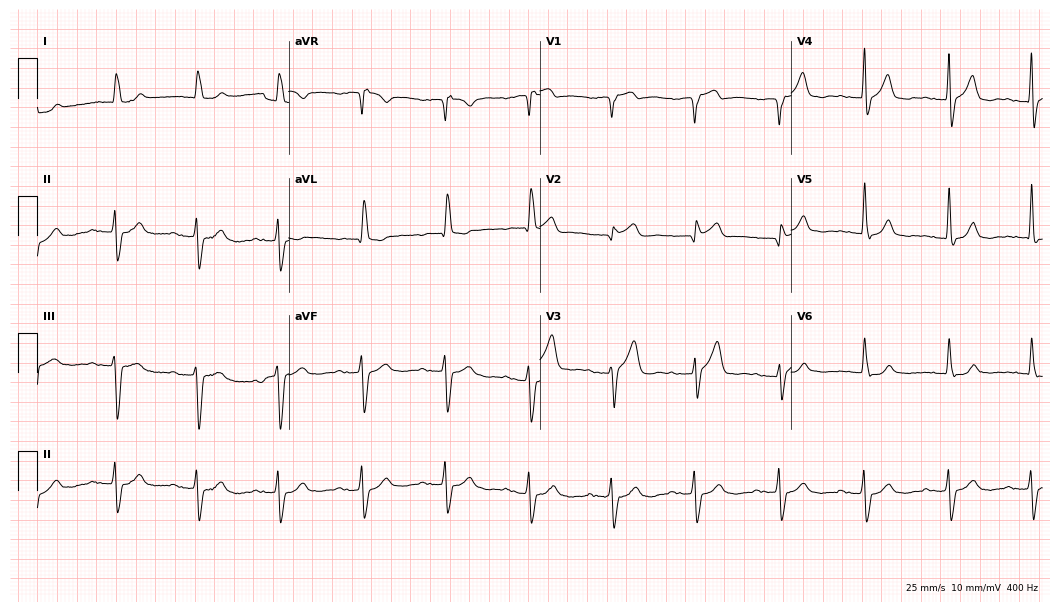
12-lead ECG from a male, 83 years old. Screened for six findings — first-degree AV block, right bundle branch block, left bundle branch block, sinus bradycardia, atrial fibrillation, sinus tachycardia — none is recorded.